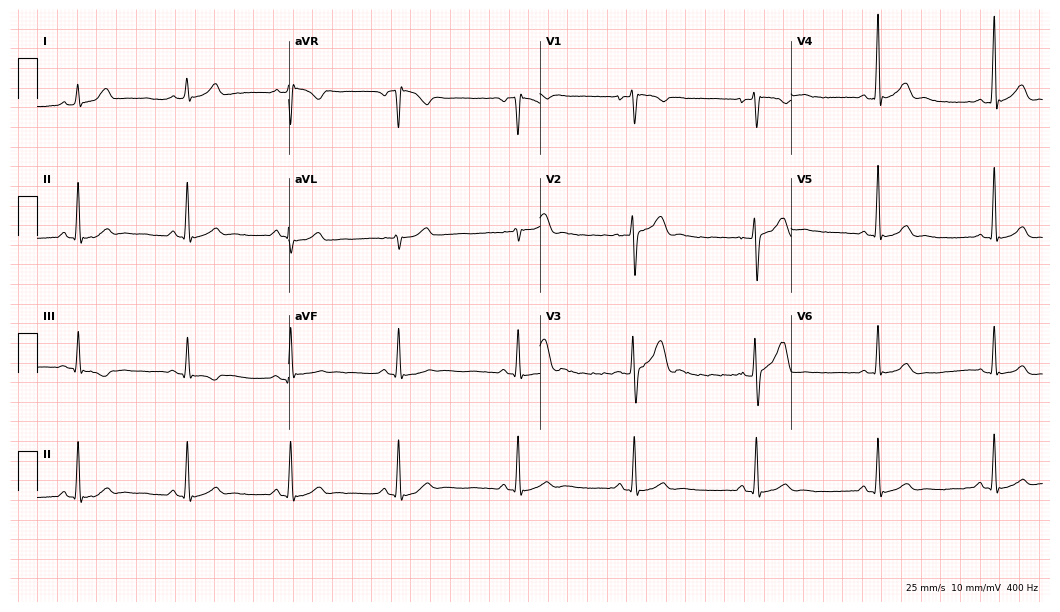
Electrocardiogram, a 30-year-old male. Overall reading on record: normal ECG.